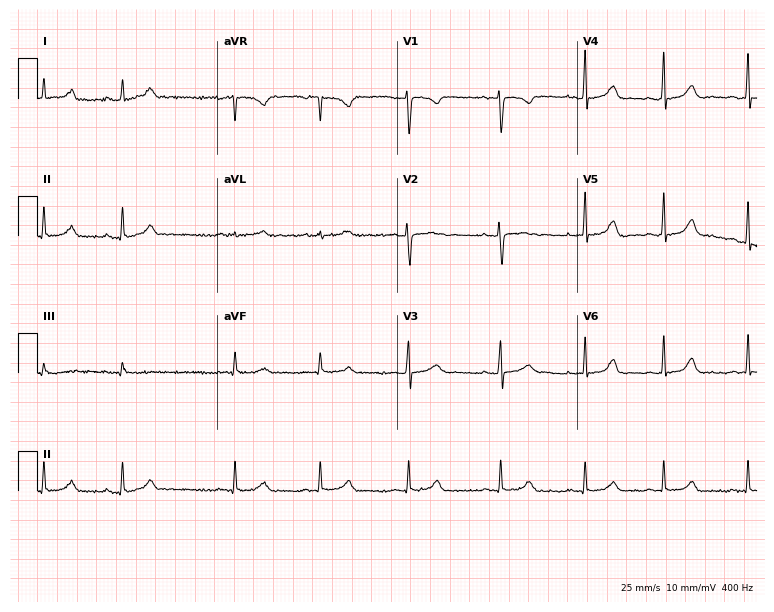
12-lead ECG from a woman, 31 years old. Screened for six findings — first-degree AV block, right bundle branch block, left bundle branch block, sinus bradycardia, atrial fibrillation, sinus tachycardia — none is recorded. Only these six findings were labelled.